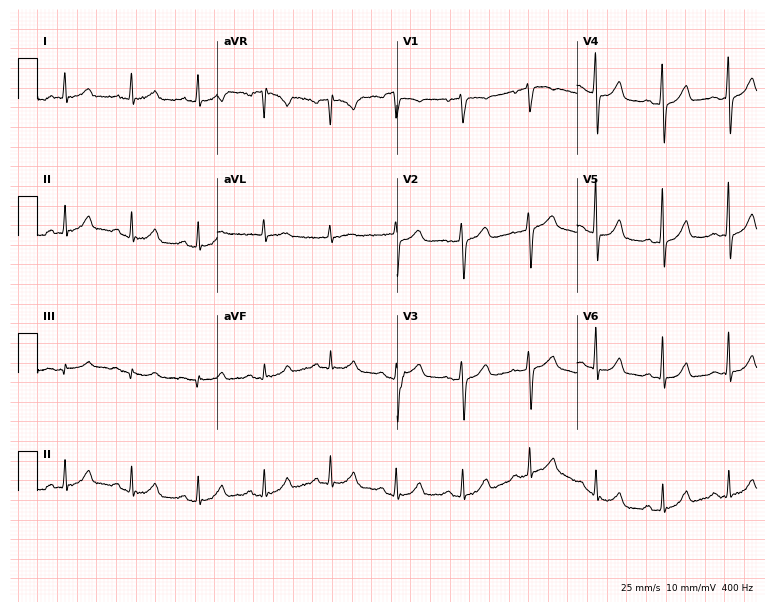
12-lead ECG from a 64-year-old female patient. Labelled as a normal ECG.